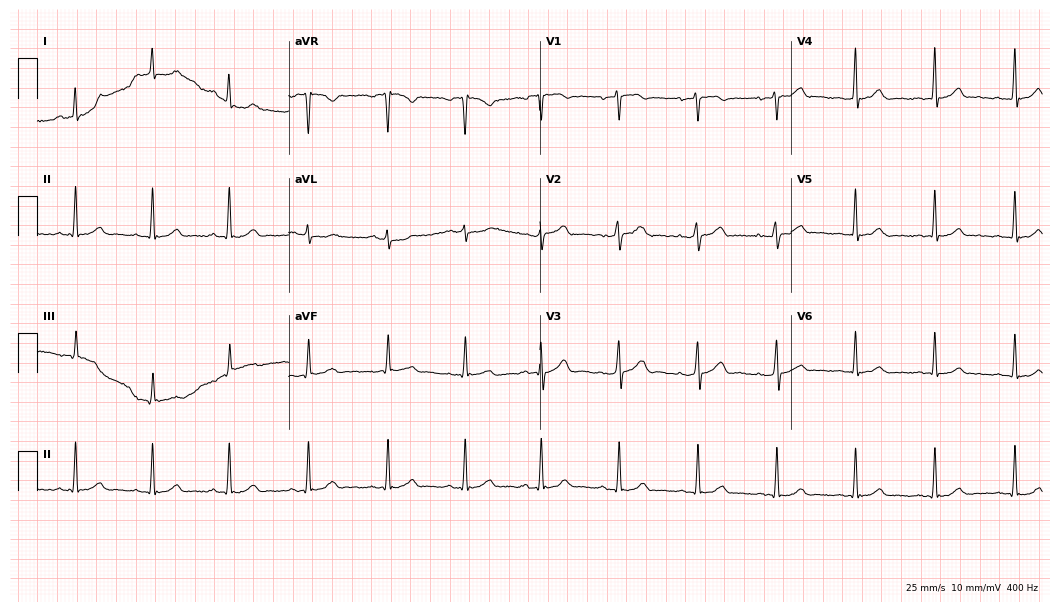
Standard 12-lead ECG recorded from a female, 34 years old (10.2-second recording at 400 Hz). Read as a normal ECG.